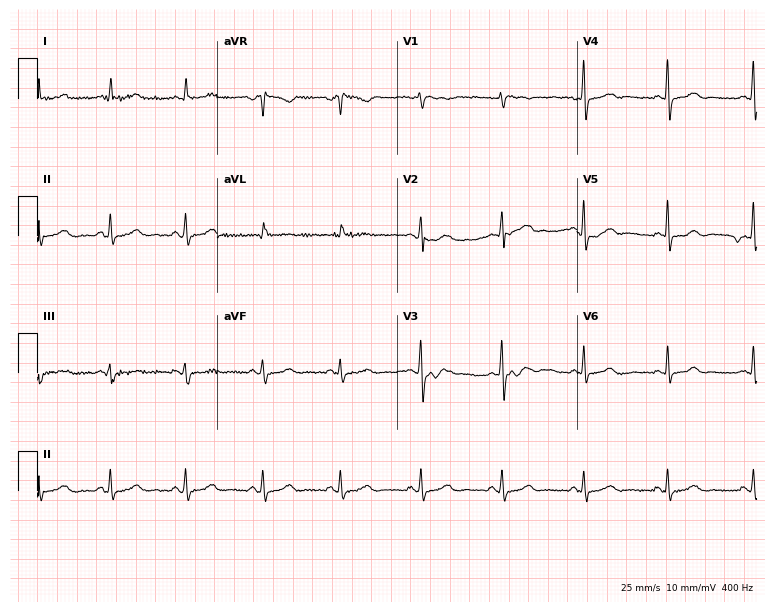
ECG — a female patient, 38 years old. Labelled as a normal ECG.